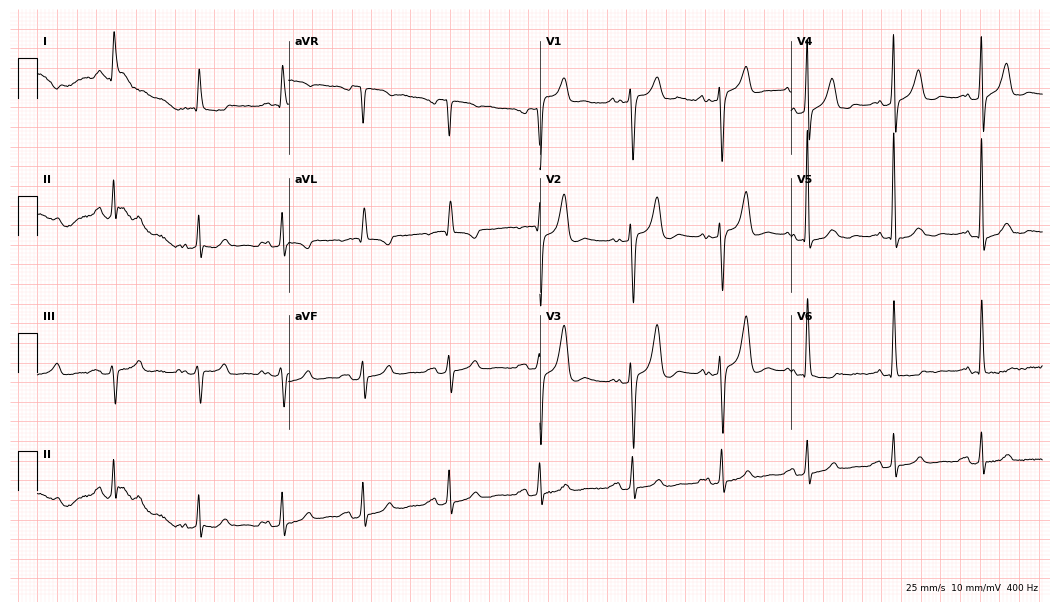
Electrocardiogram, a male, 83 years old. Of the six screened findings (first-degree AV block, right bundle branch block (RBBB), left bundle branch block (LBBB), sinus bradycardia, atrial fibrillation (AF), sinus tachycardia), none is recorded. Other findings, if any, are not listed.